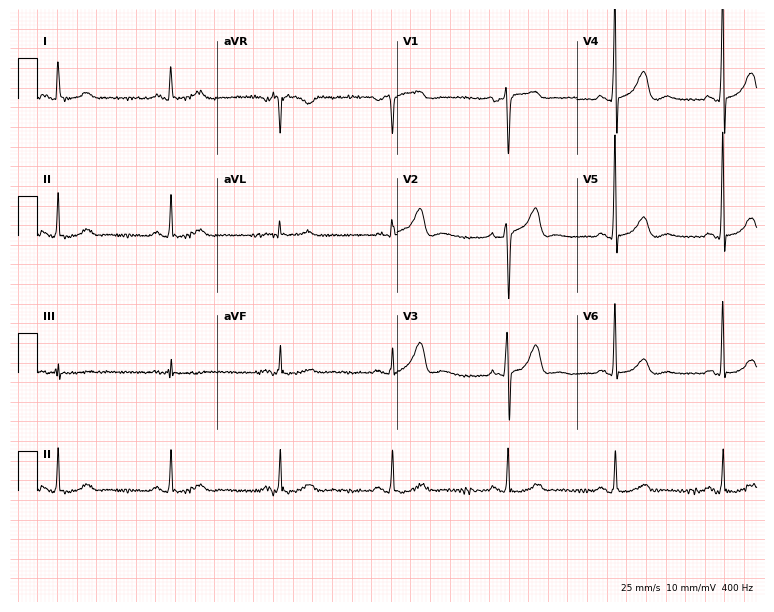
ECG — a 56-year-old woman. Labelled as a normal ECG.